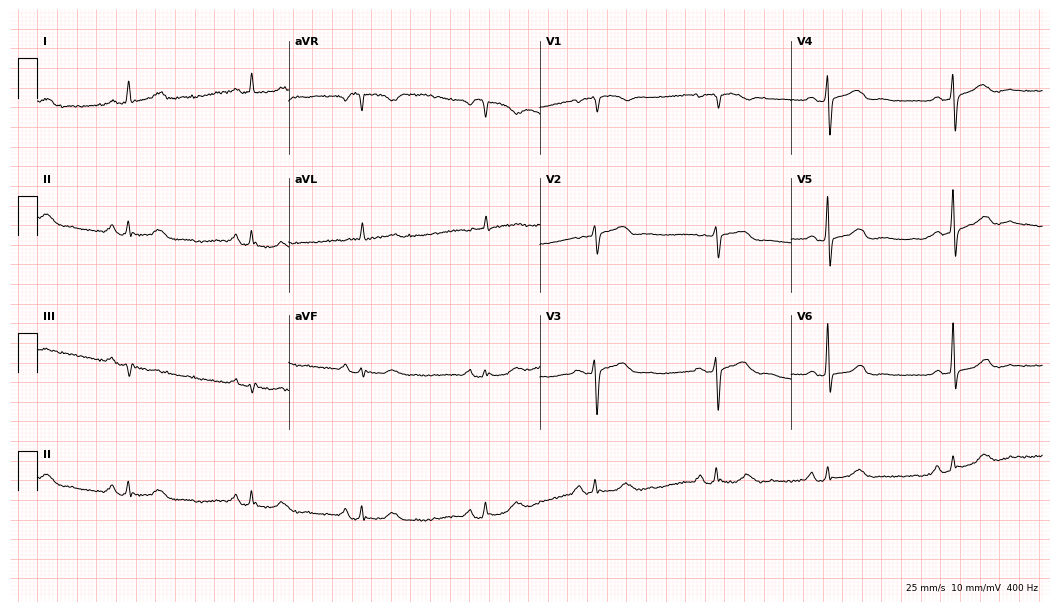
Resting 12-lead electrocardiogram (10.2-second recording at 400 Hz). Patient: a woman, 73 years old. None of these six findings is recorded: first-degree AV block, right bundle branch block, left bundle branch block, sinus bradycardia, atrial fibrillation, sinus tachycardia.